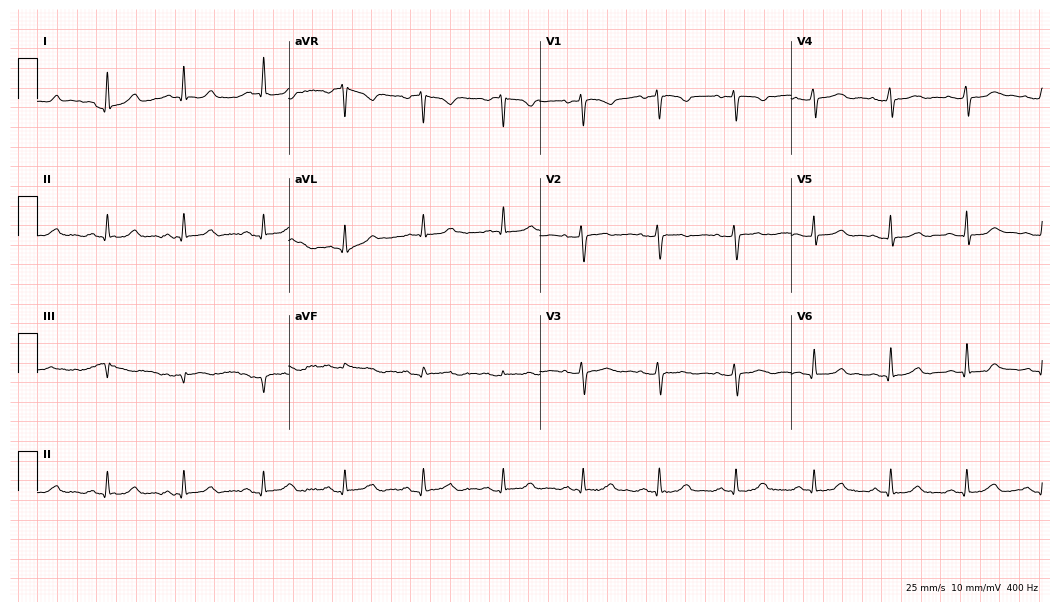
ECG (10.2-second recording at 400 Hz) — a female patient, 41 years old. Labelled as a normal ECG.